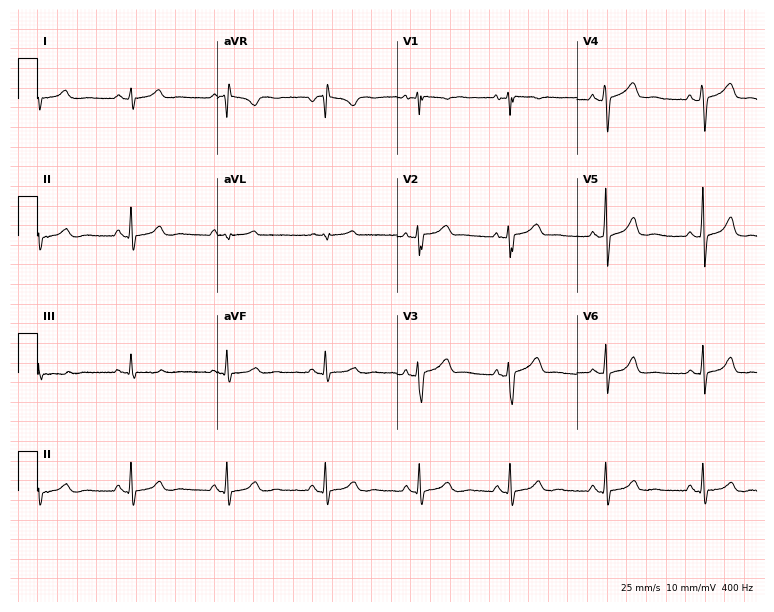
12-lead ECG from a female, 35 years old. Labelled as a normal ECG.